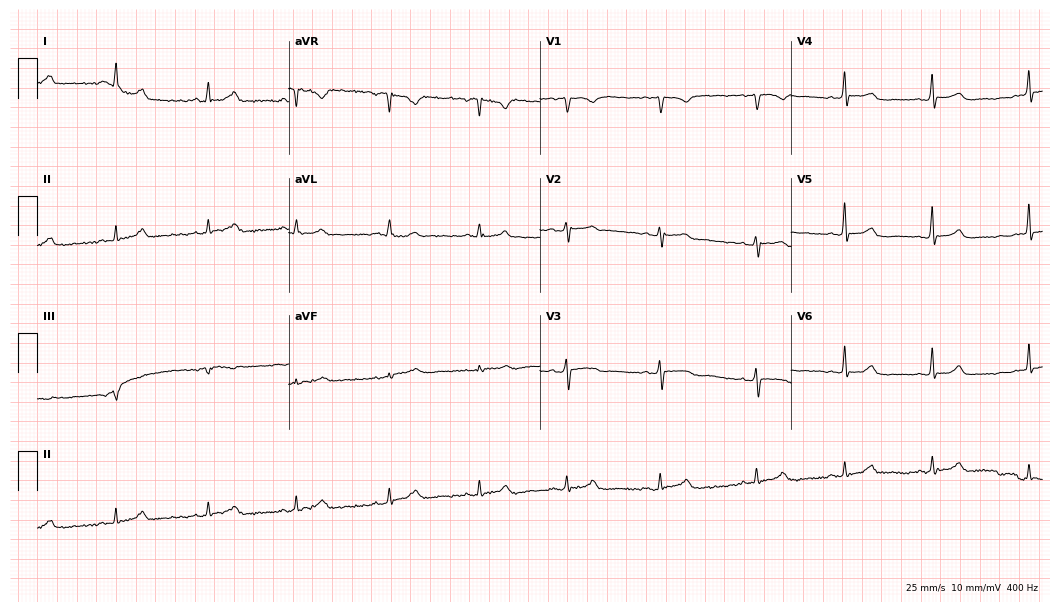
Resting 12-lead electrocardiogram. Patient: a 44-year-old woman. Read as a normal ECG.